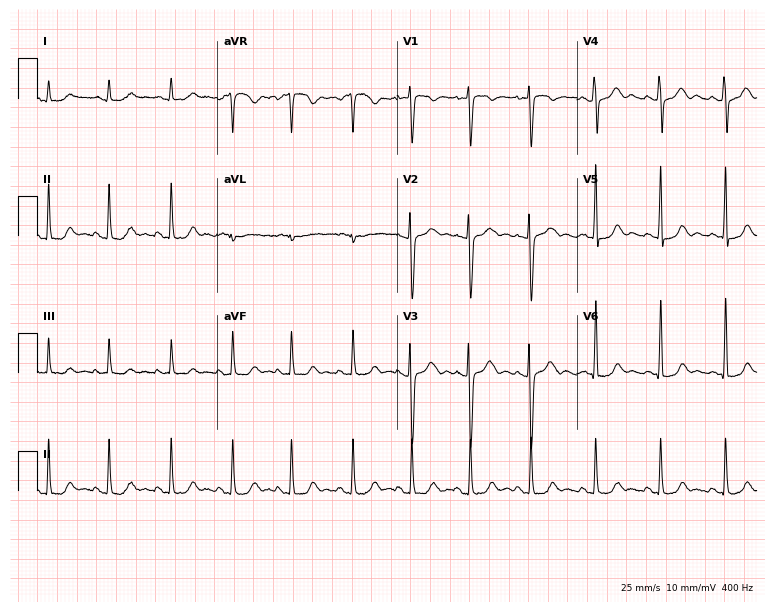
Electrocardiogram, a 32-year-old woman. Of the six screened findings (first-degree AV block, right bundle branch block (RBBB), left bundle branch block (LBBB), sinus bradycardia, atrial fibrillation (AF), sinus tachycardia), none is recorded. Only these six findings were labelled.